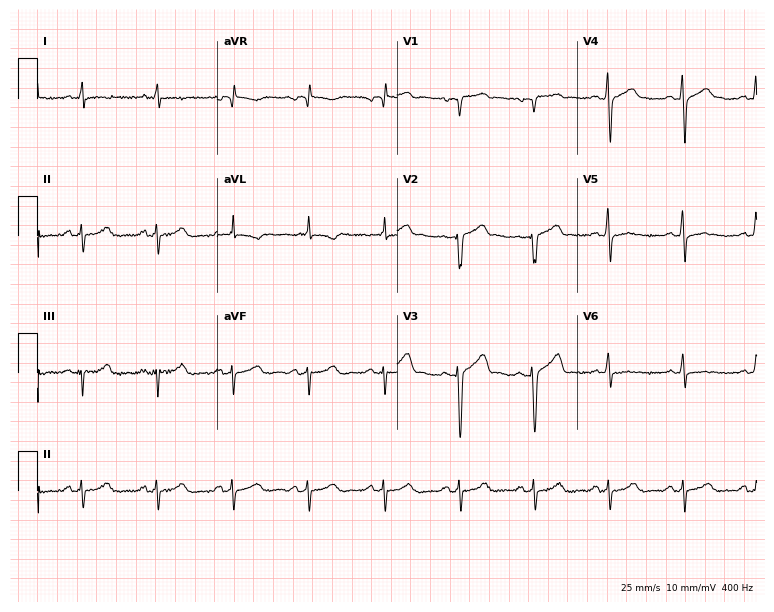
Resting 12-lead electrocardiogram. Patient: a man, 71 years old. None of these six findings is recorded: first-degree AV block, right bundle branch block, left bundle branch block, sinus bradycardia, atrial fibrillation, sinus tachycardia.